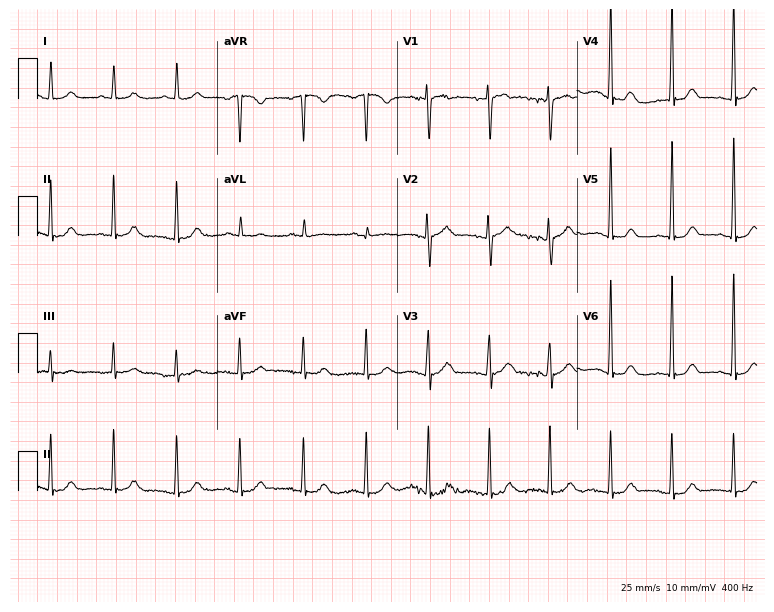
ECG (7.3-second recording at 400 Hz) — a woman, 78 years old. Labelled as a normal ECG.